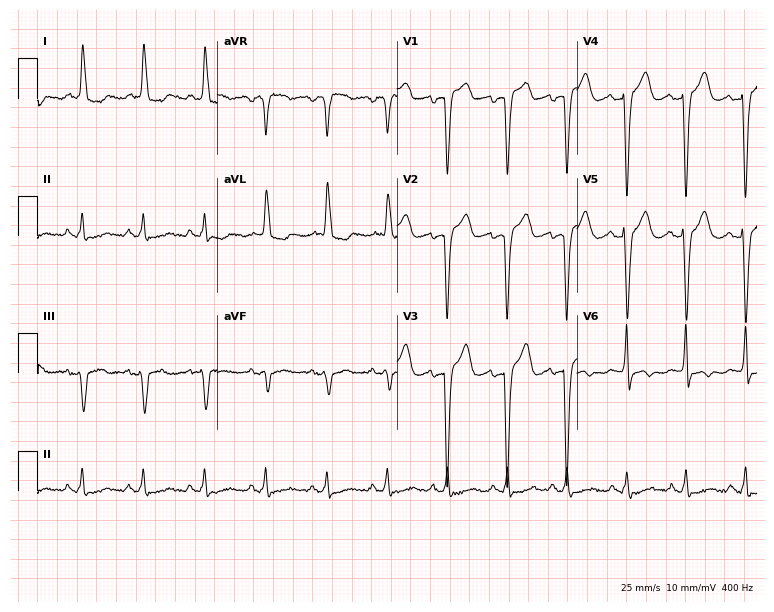
Resting 12-lead electrocardiogram (7.3-second recording at 400 Hz). Patient: a 72-year-old man. None of these six findings is recorded: first-degree AV block, right bundle branch block, left bundle branch block, sinus bradycardia, atrial fibrillation, sinus tachycardia.